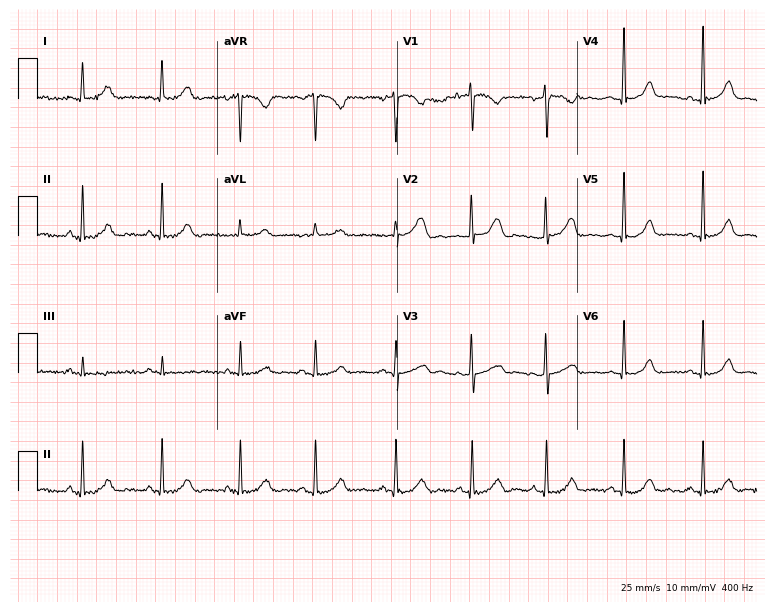
ECG — a 37-year-old woman. Labelled as a normal ECG.